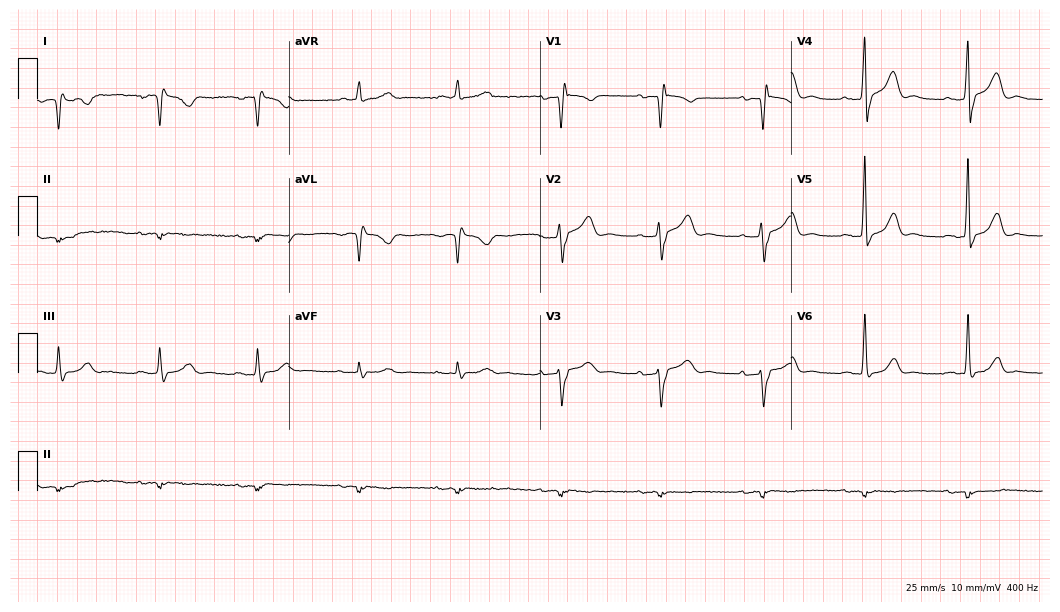
12-lead ECG from a 64-year-old male patient. No first-degree AV block, right bundle branch block (RBBB), left bundle branch block (LBBB), sinus bradycardia, atrial fibrillation (AF) or sinus tachycardia recorded for this tracing.